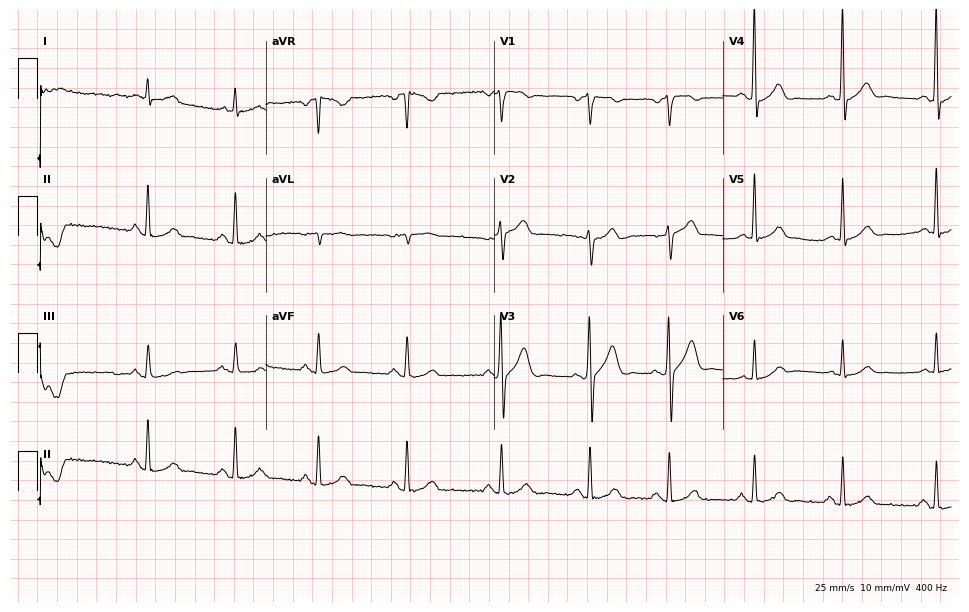
Standard 12-lead ECG recorded from a 75-year-old male. None of these six findings is recorded: first-degree AV block, right bundle branch block, left bundle branch block, sinus bradycardia, atrial fibrillation, sinus tachycardia. Other findings, if any, are not listed.